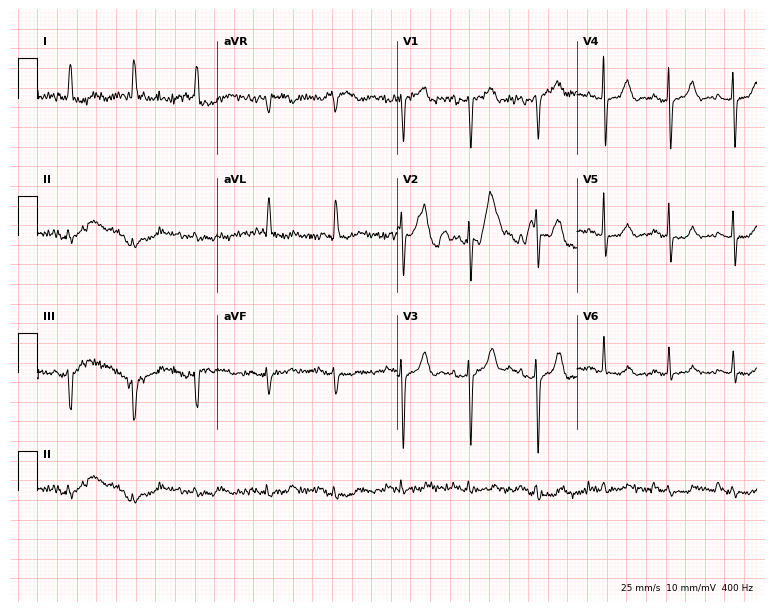
12-lead ECG from a female patient, 85 years old. Screened for six findings — first-degree AV block, right bundle branch block, left bundle branch block, sinus bradycardia, atrial fibrillation, sinus tachycardia — none is recorded.